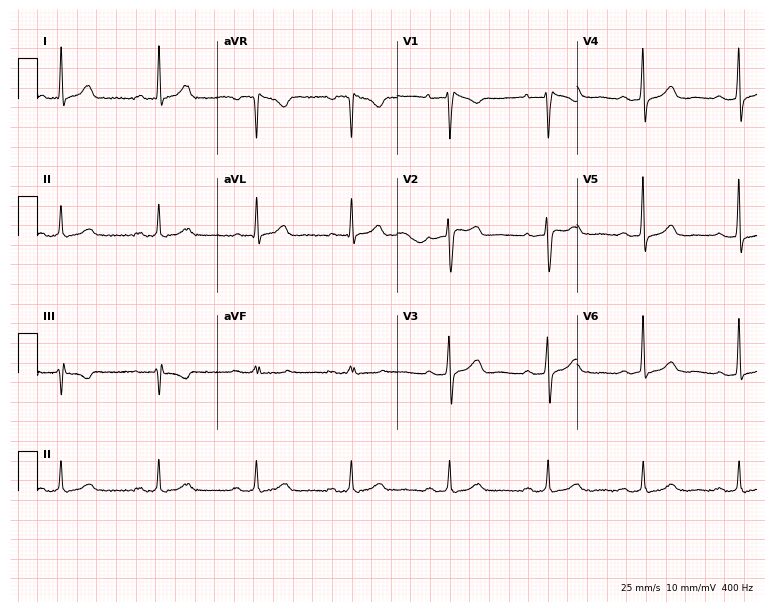
Standard 12-lead ECG recorded from a female patient, 69 years old (7.3-second recording at 400 Hz). Read as a normal ECG.